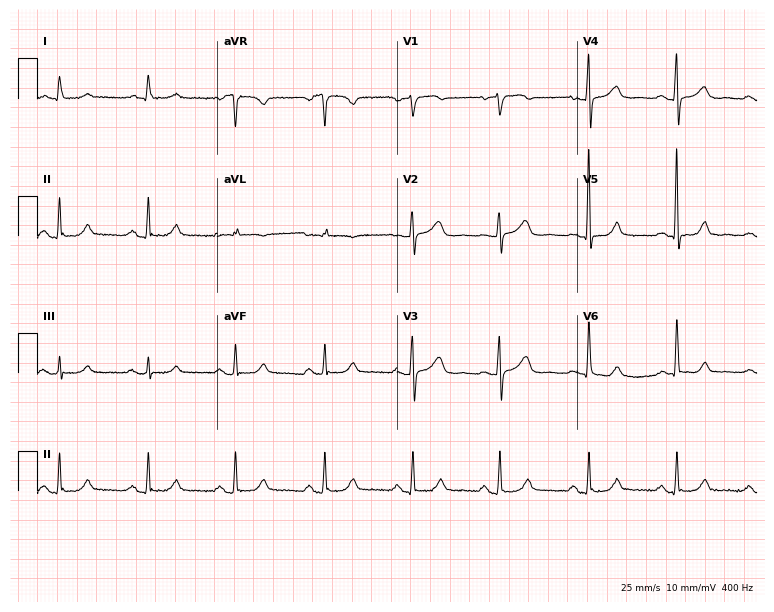
12-lead ECG (7.3-second recording at 400 Hz) from a 74-year-old female patient. Screened for six findings — first-degree AV block, right bundle branch block, left bundle branch block, sinus bradycardia, atrial fibrillation, sinus tachycardia — none is recorded. Other findings, if any, are not listed.